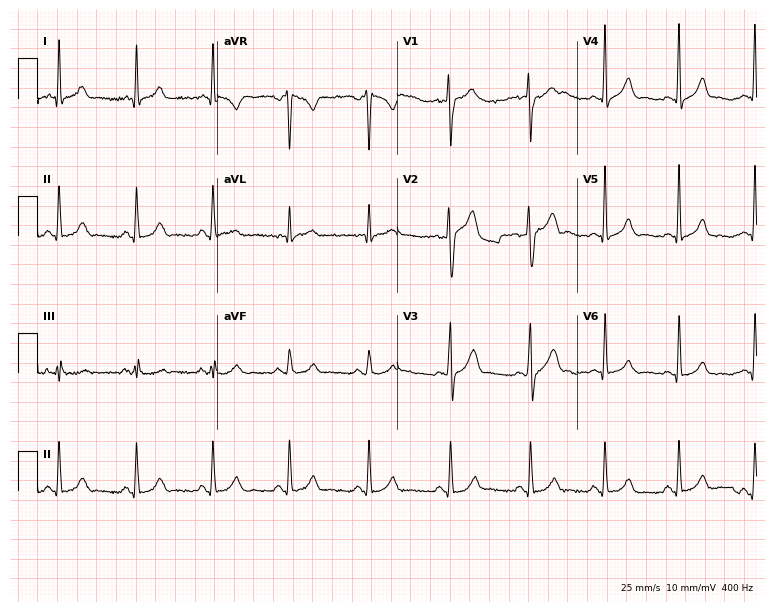
12-lead ECG from a male, 42 years old (7.3-second recording at 400 Hz). Recorded interpretation: within normal limits.